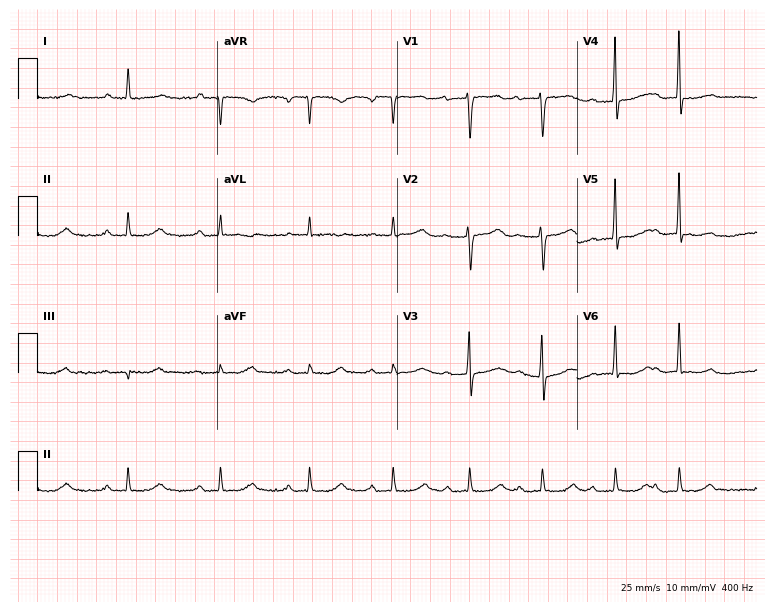
Resting 12-lead electrocardiogram. Patient: a 68-year-old woman. The tracing shows first-degree AV block.